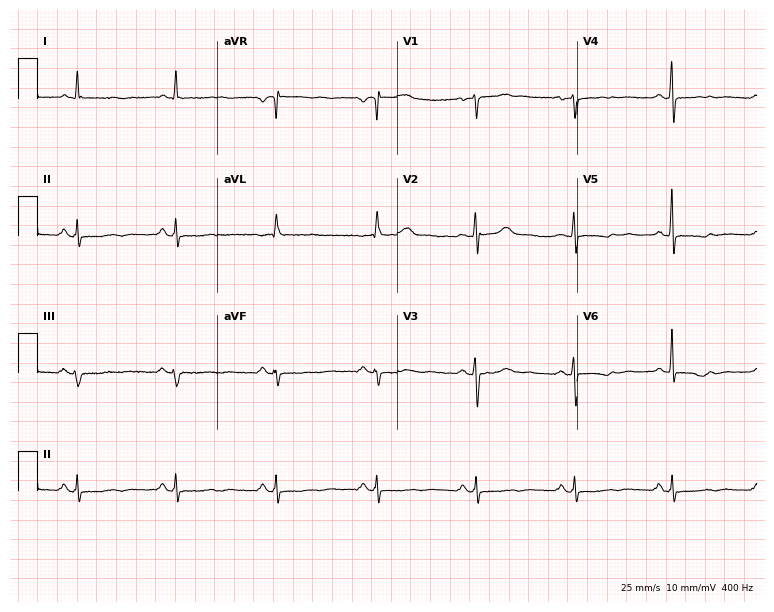
Resting 12-lead electrocardiogram. Patient: a female, 69 years old. None of these six findings is recorded: first-degree AV block, right bundle branch block, left bundle branch block, sinus bradycardia, atrial fibrillation, sinus tachycardia.